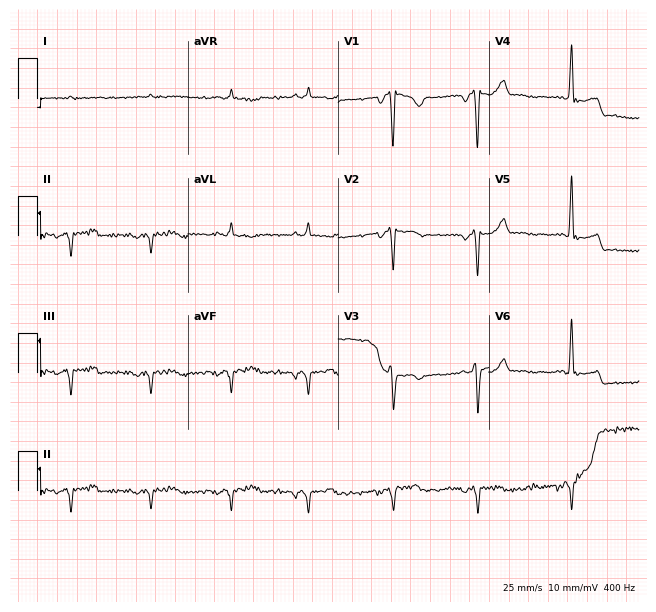
12-lead ECG from a 31-year-old female (6.1-second recording at 400 Hz). No first-degree AV block, right bundle branch block (RBBB), left bundle branch block (LBBB), sinus bradycardia, atrial fibrillation (AF) or sinus tachycardia recorded for this tracing.